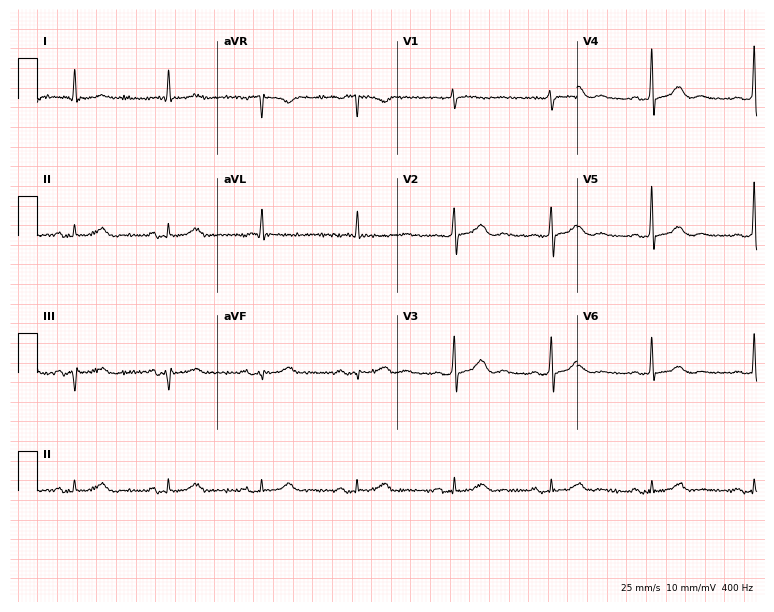
Standard 12-lead ECG recorded from a male patient, 81 years old (7.3-second recording at 400 Hz). None of these six findings is recorded: first-degree AV block, right bundle branch block, left bundle branch block, sinus bradycardia, atrial fibrillation, sinus tachycardia. Other findings, if any, are not listed.